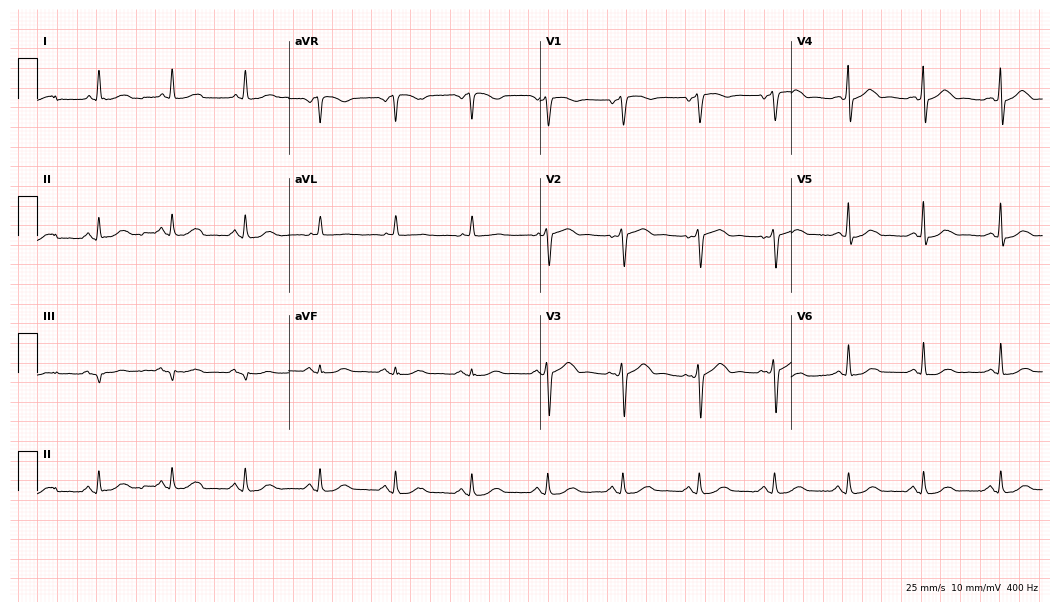
Standard 12-lead ECG recorded from a man, 68 years old (10.2-second recording at 400 Hz). Read as a normal ECG.